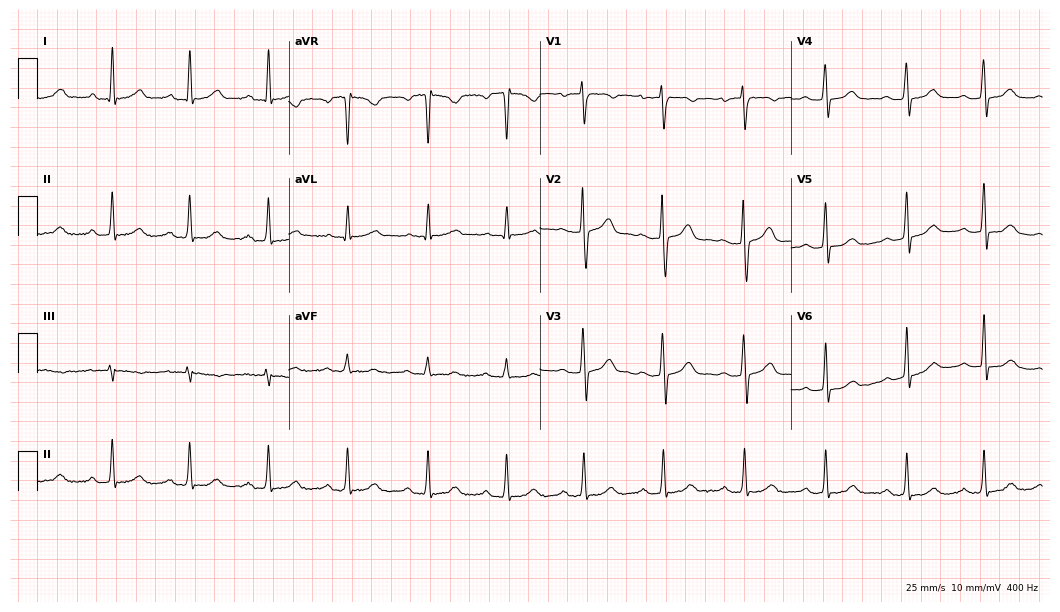
Resting 12-lead electrocardiogram (10.2-second recording at 400 Hz). Patient: a 40-year-old woman. Read as a normal ECG.